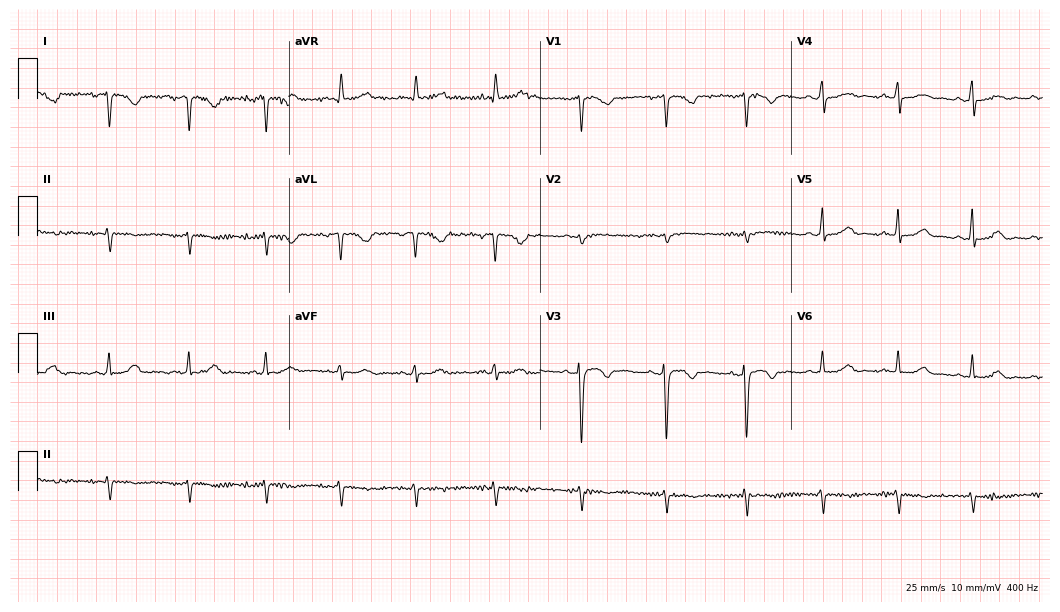
Resting 12-lead electrocardiogram. Patient: a 41-year-old female. None of these six findings is recorded: first-degree AV block, right bundle branch block, left bundle branch block, sinus bradycardia, atrial fibrillation, sinus tachycardia.